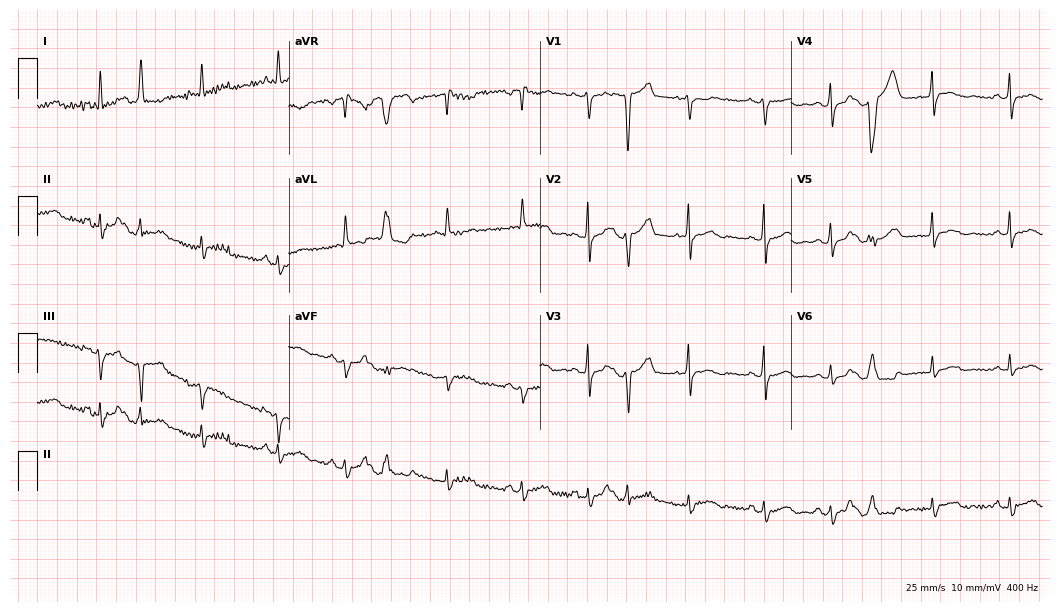
Electrocardiogram, a female patient, 57 years old. Of the six screened findings (first-degree AV block, right bundle branch block (RBBB), left bundle branch block (LBBB), sinus bradycardia, atrial fibrillation (AF), sinus tachycardia), none is recorded.